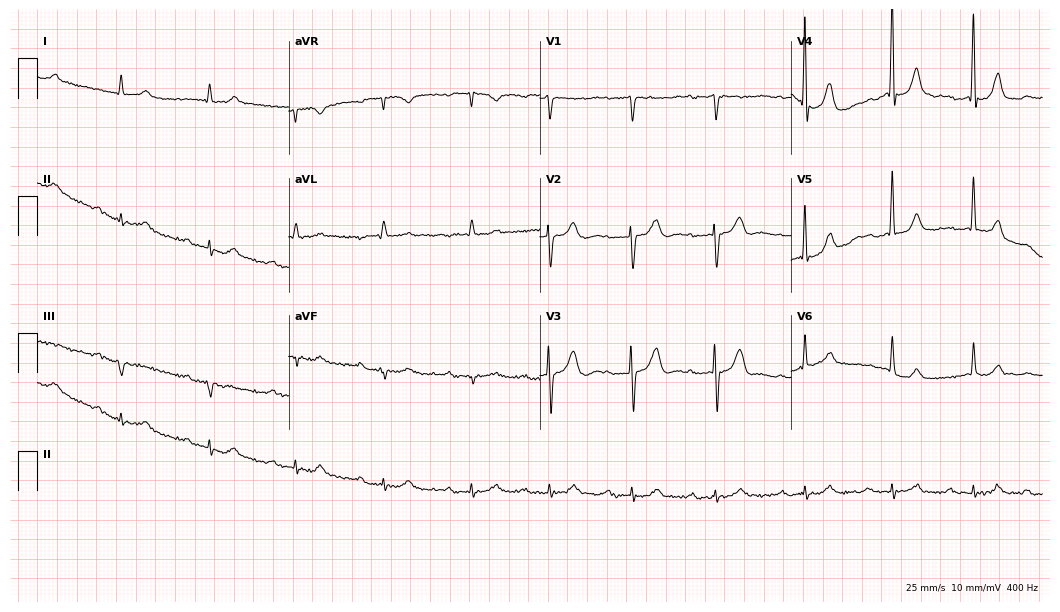
12-lead ECG from an 84-year-old man. No first-degree AV block, right bundle branch block (RBBB), left bundle branch block (LBBB), sinus bradycardia, atrial fibrillation (AF) or sinus tachycardia recorded for this tracing.